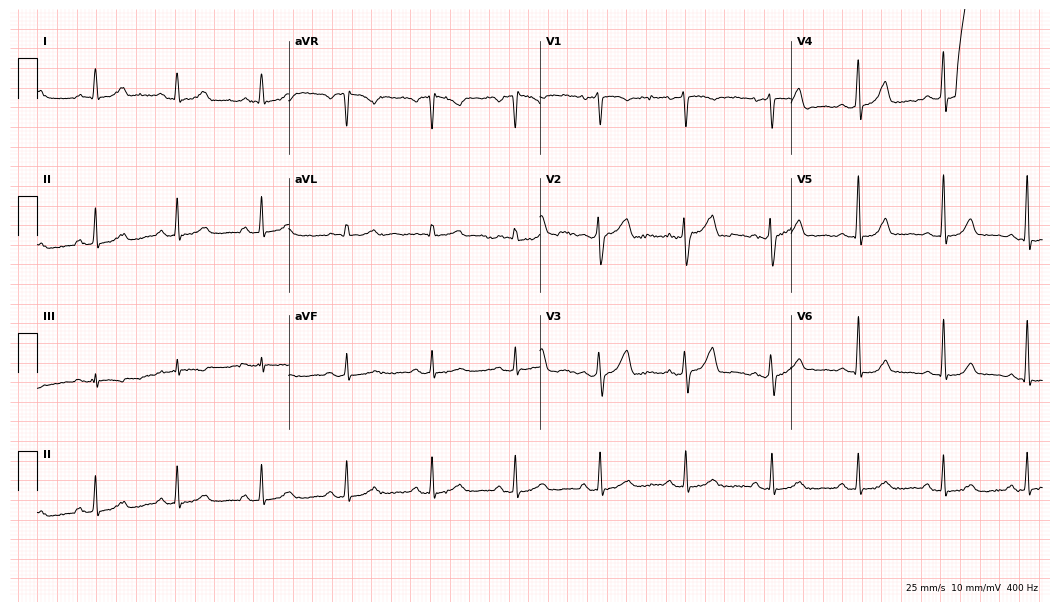
Standard 12-lead ECG recorded from a female, 43 years old (10.2-second recording at 400 Hz). Read as a normal ECG.